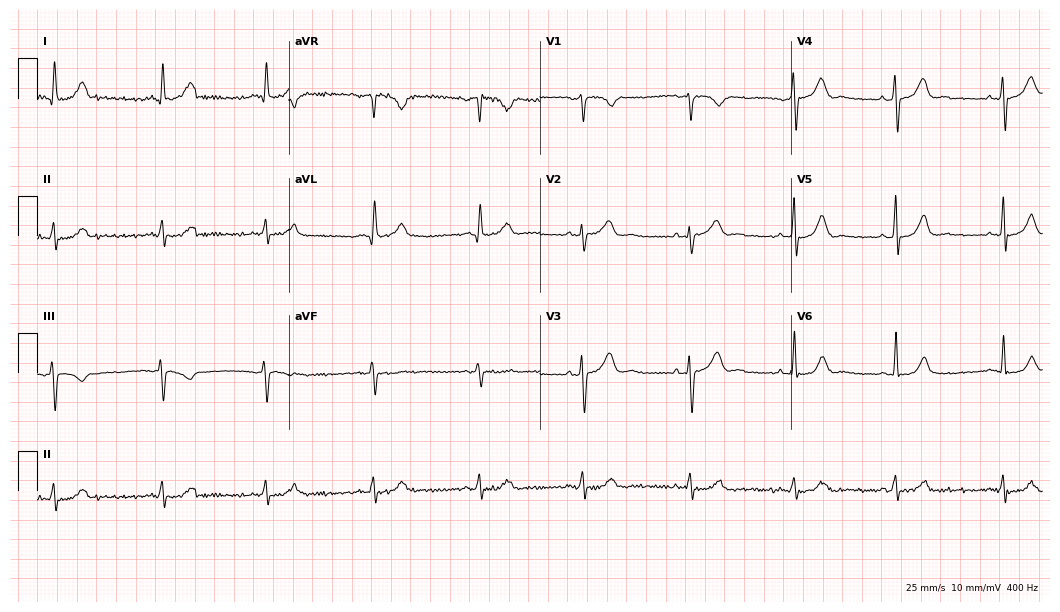
Standard 12-lead ECG recorded from a 50-year-old male. None of these six findings is recorded: first-degree AV block, right bundle branch block, left bundle branch block, sinus bradycardia, atrial fibrillation, sinus tachycardia. Only these six findings were labelled.